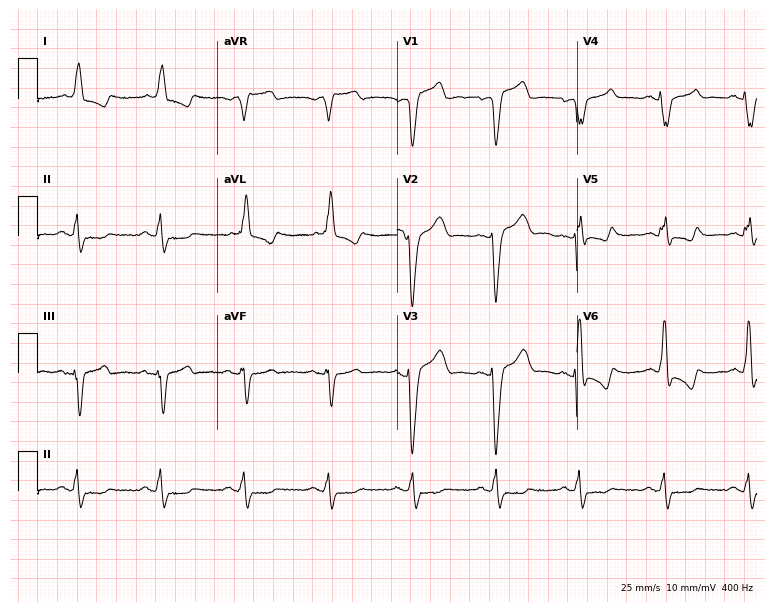
12-lead ECG from an 83-year-old male patient (7.3-second recording at 400 Hz). No first-degree AV block, right bundle branch block, left bundle branch block, sinus bradycardia, atrial fibrillation or sinus tachycardia recorded for this tracing.